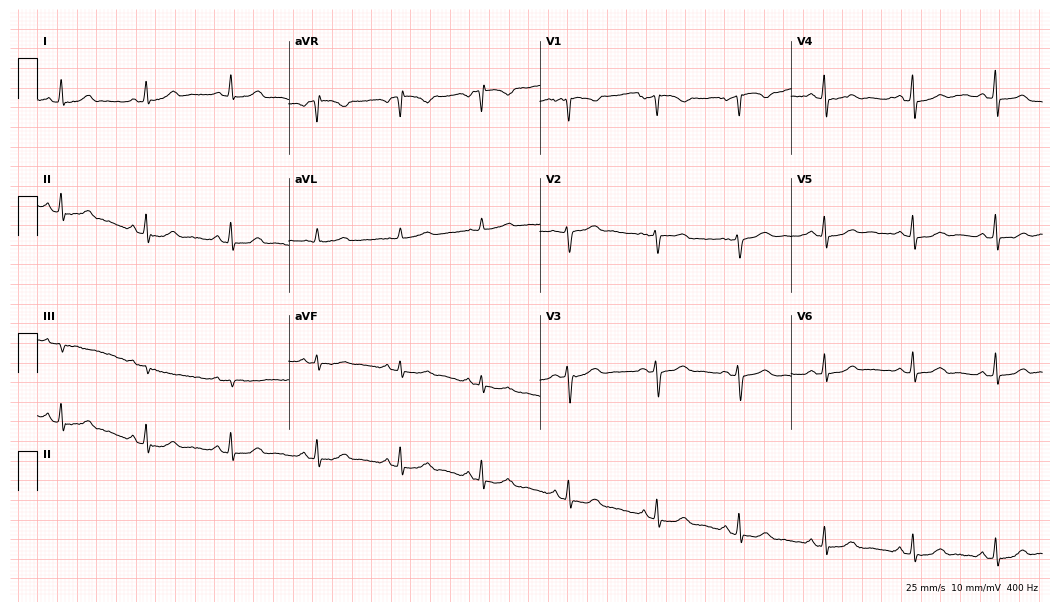
ECG — a 50-year-old woman. Labelled as a normal ECG.